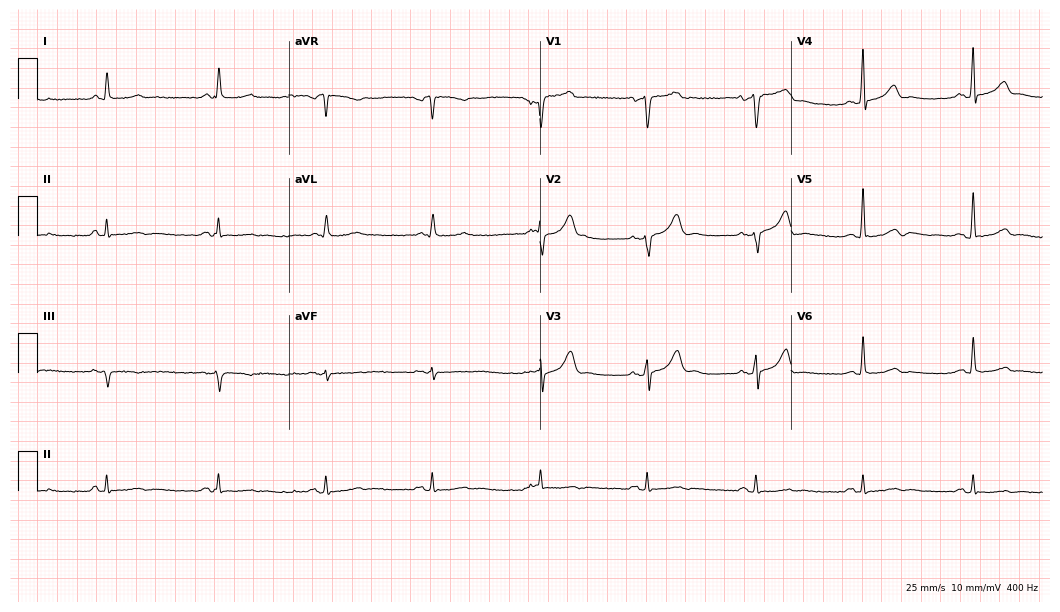
Electrocardiogram (10.2-second recording at 400 Hz), a man, 66 years old. Of the six screened findings (first-degree AV block, right bundle branch block (RBBB), left bundle branch block (LBBB), sinus bradycardia, atrial fibrillation (AF), sinus tachycardia), none is recorded.